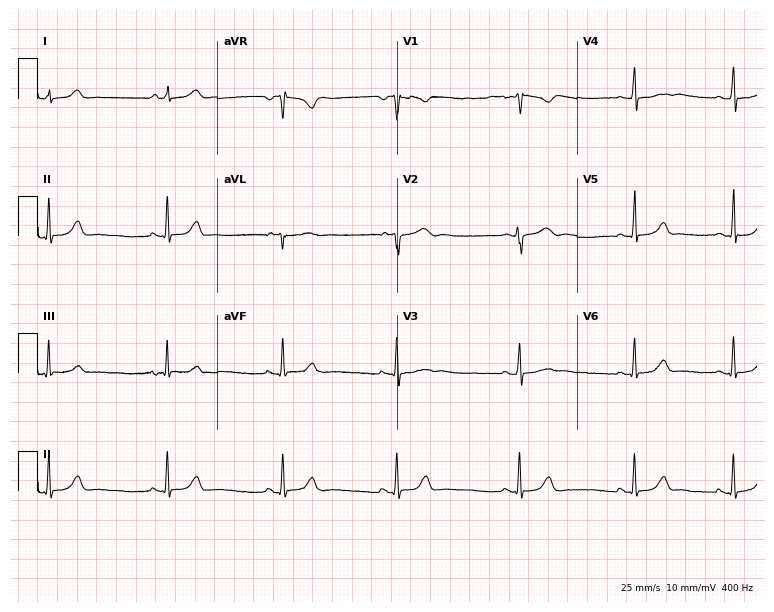
ECG — a 27-year-old woman. Labelled as a normal ECG.